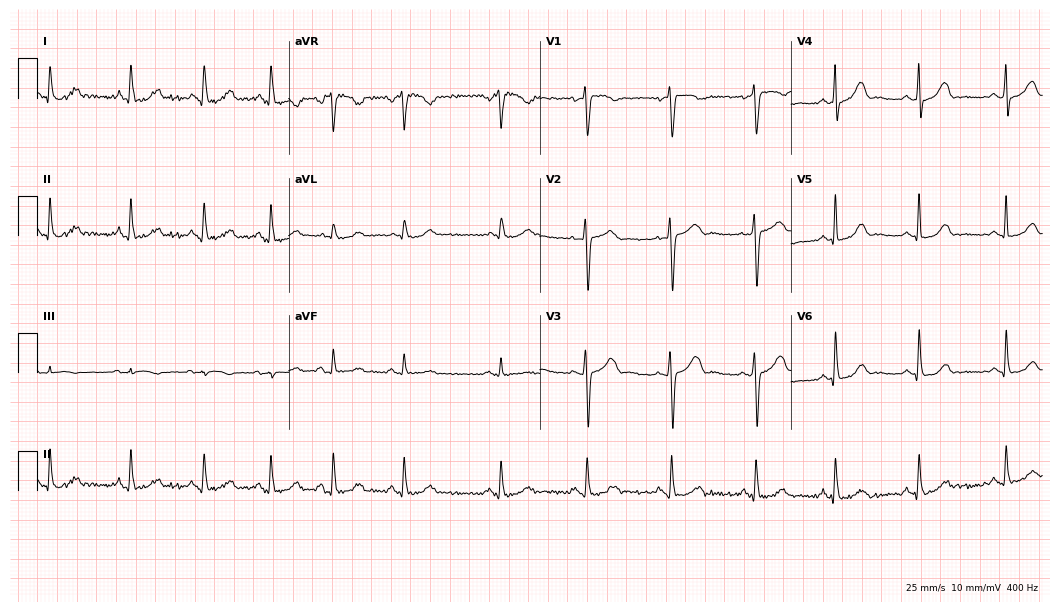
ECG — a woman, 25 years old. Labelled as a normal ECG.